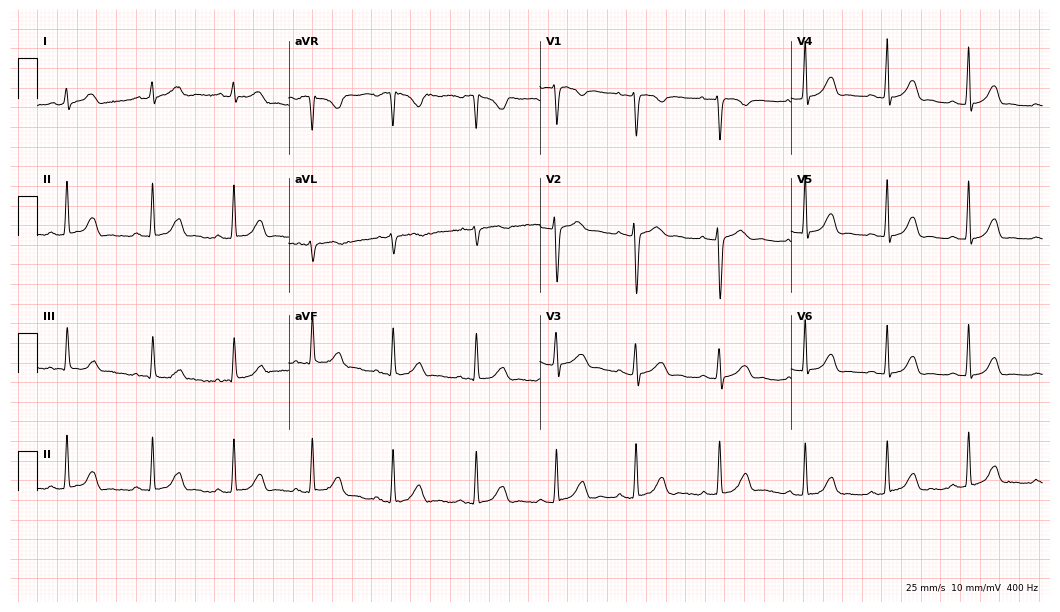
12-lead ECG from a female patient, 28 years old (10.2-second recording at 400 Hz). Recorded interpretation: within normal limits.